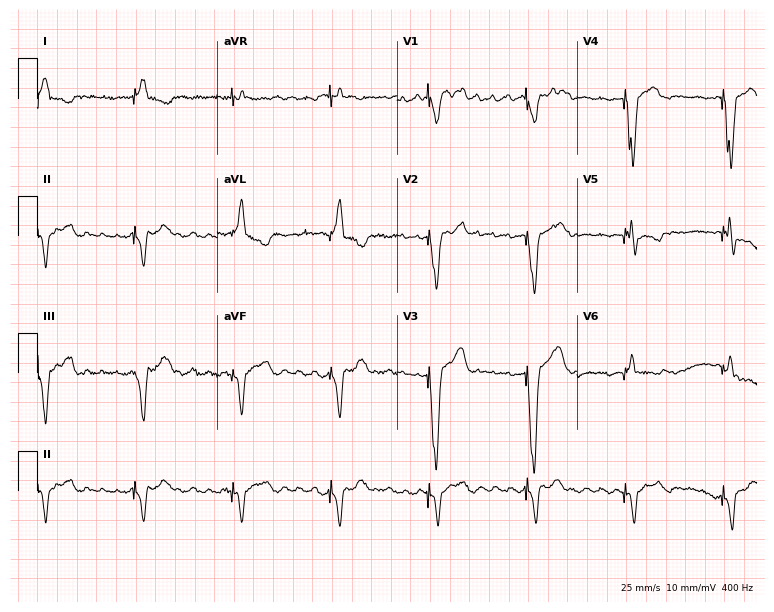
Electrocardiogram (7.3-second recording at 400 Hz), a woman, 82 years old. Of the six screened findings (first-degree AV block, right bundle branch block, left bundle branch block, sinus bradycardia, atrial fibrillation, sinus tachycardia), none is recorded. Findings outside these six are not listed.